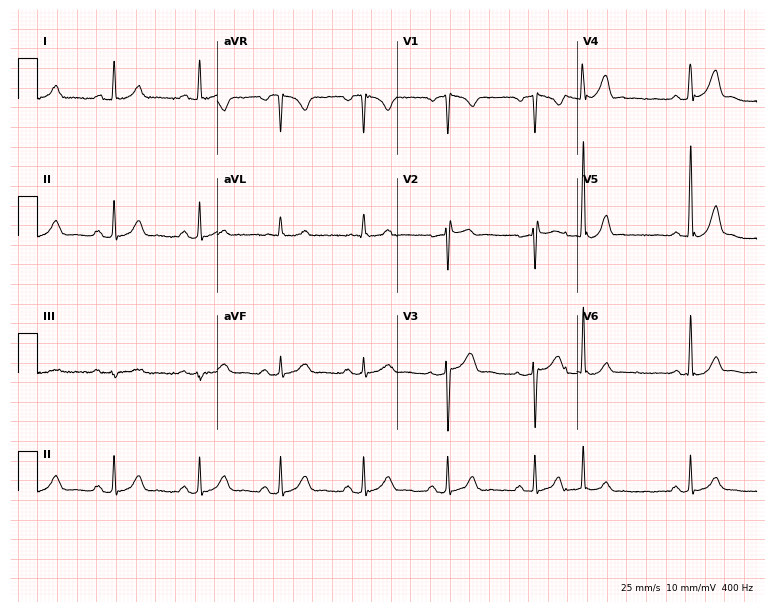
Electrocardiogram, an 82-year-old male patient. Of the six screened findings (first-degree AV block, right bundle branch block, left bundle branch block, sinus bradycardia, atrial fibrillation, sinus tachycardia), none is recorded. Findings outside these six are not listed.